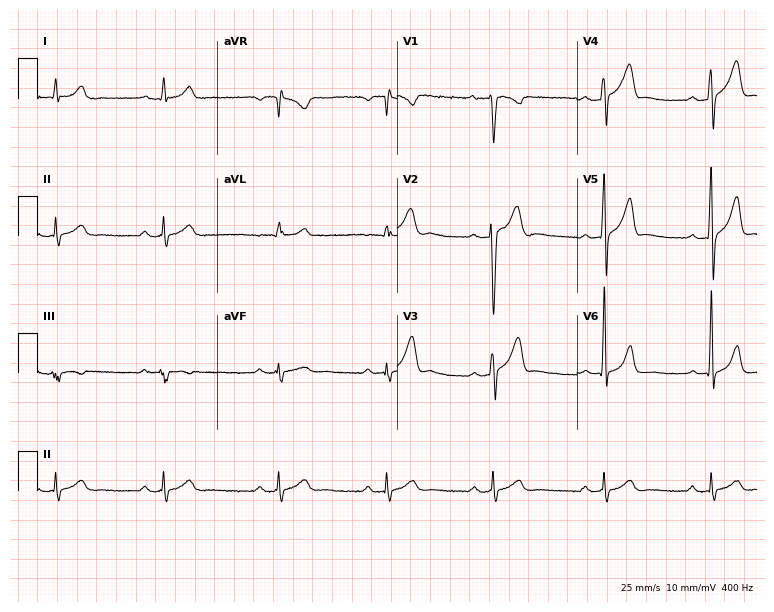
12-lead ECG from a 25-year-old man. Screened for six findings — first-degree AV block, right bundle branch block, left bundle branch block, sinus bradycardia, atrial fibrillation, sinus tachycardia — none is recorded. Findings outside these six are not listed.